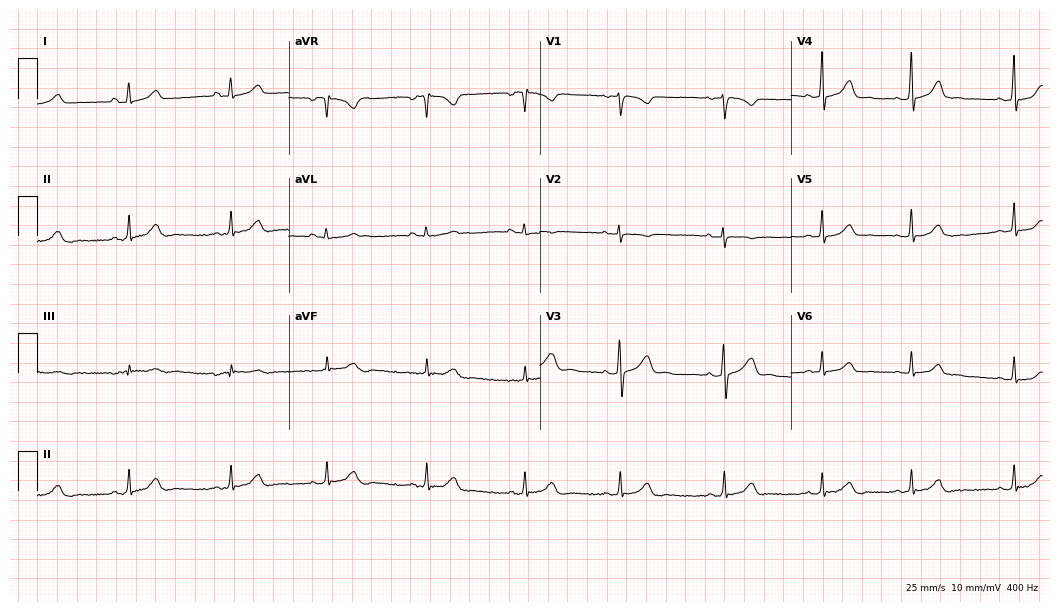
Resting 12-lead electrocardiogram (10.2-second recording at 400 Hz). Patient: a 21-year-old woman. Read as a normal ECG.